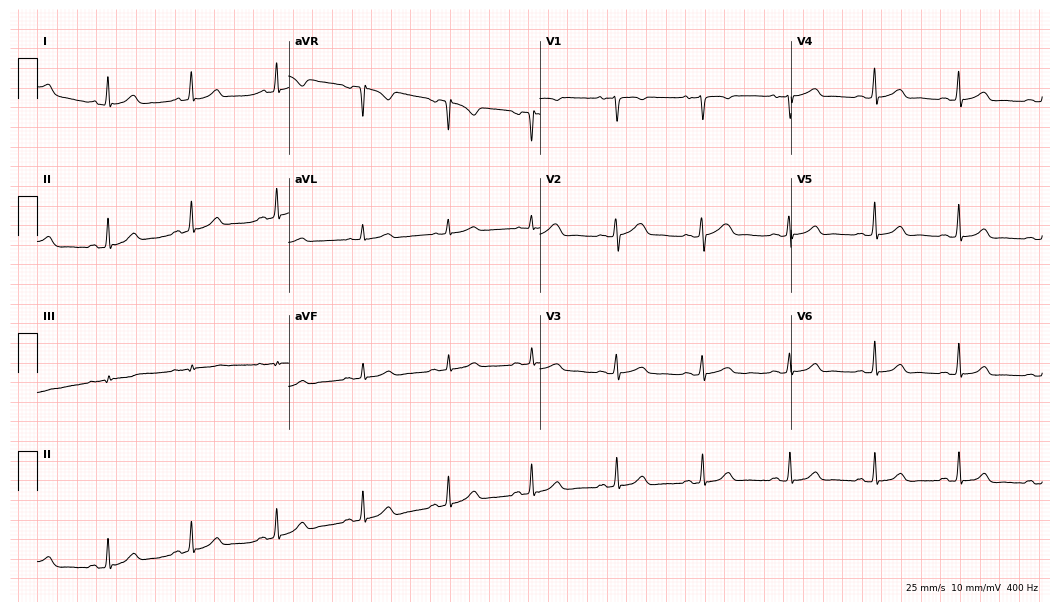
ECG — a 37-year-old female. Labelled as a normal ECG.